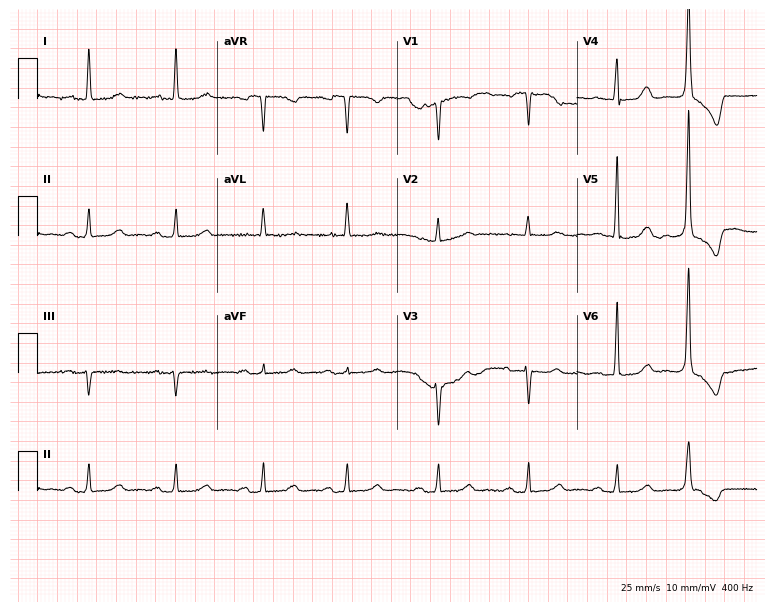
ECG — a male, 72 years old. Screened for six findings — first-degree AV block, right bundle branch block (RBBB), left bundle branch block (LBBB), sinus bradycardia, atrial fibrillation (AF), sinus tachycardia — none is recorded.